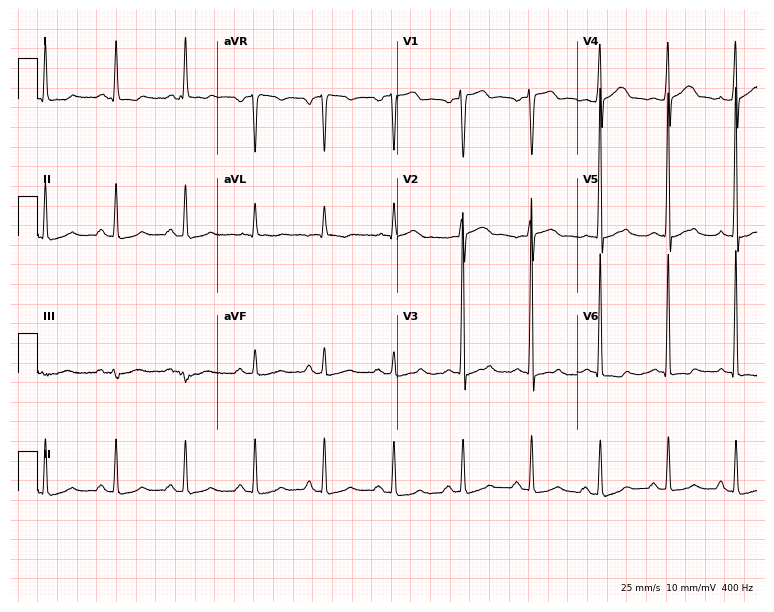
ECG (7.3-second recording at 400 Hz) — a man, 73 years old. Labelled as a normal ECG.